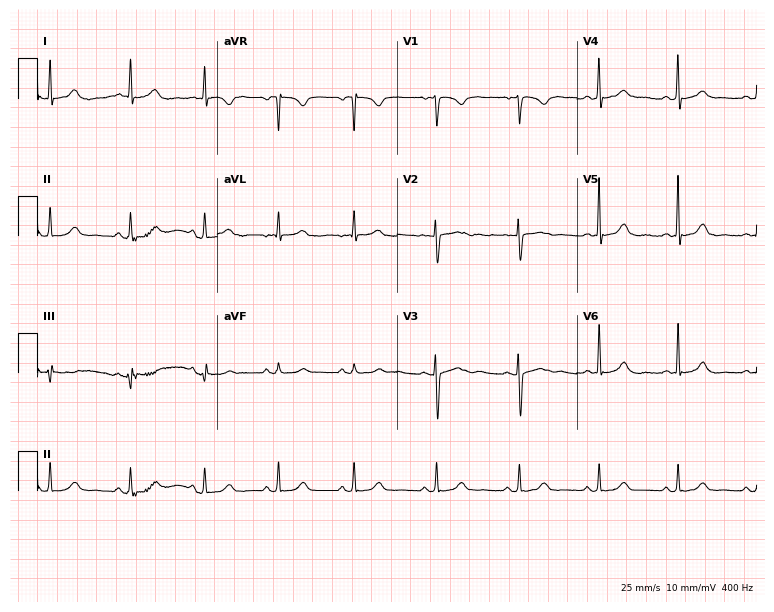
Electrocardiogram (7.3-second recording at 400 Hz), a female patient, 36 years old. Of the six screened findings (first-degree AV block, right bundle branch block, left bundle branch block, sinus bradycardia, atrial fibrillation, sinus tachycardia), none is recorded. Findings outside these six are not listed.